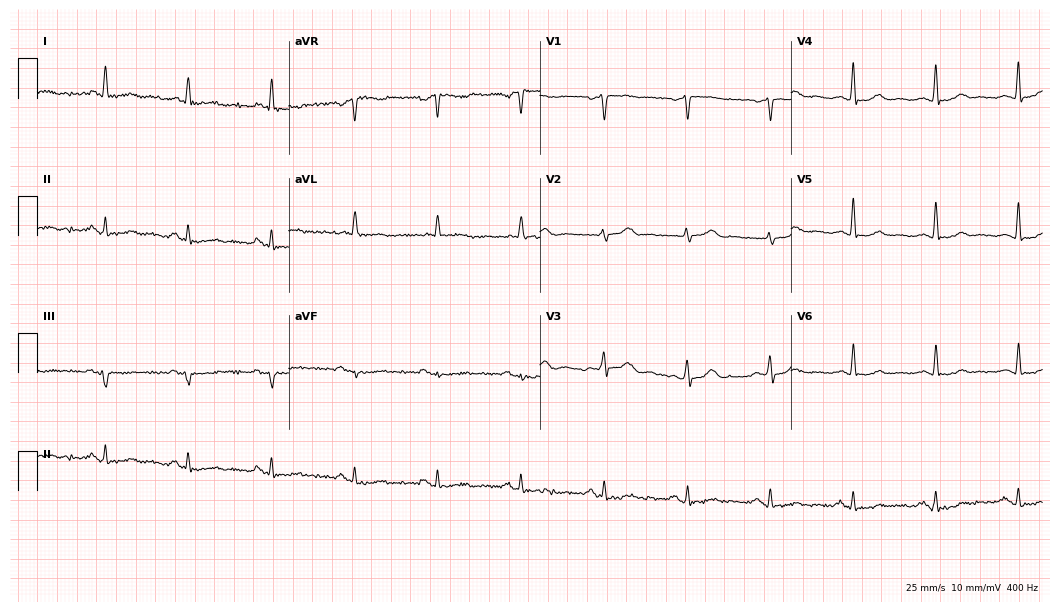
Resting 12-lead electrocardiogram (10.2-second recording at 400 Hz). Patient: a 71-year-old male. Read as a normal ECG.